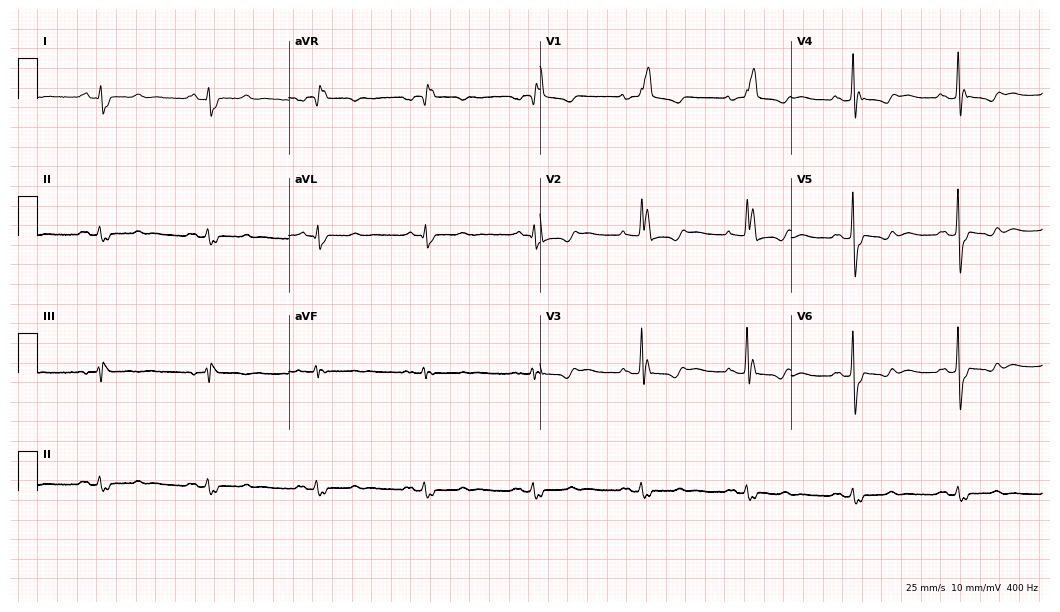
ECG (10.2-second recording at 400 Hz) — a 61-year-old female patient. Findings include right bundle branch block (RBBB).